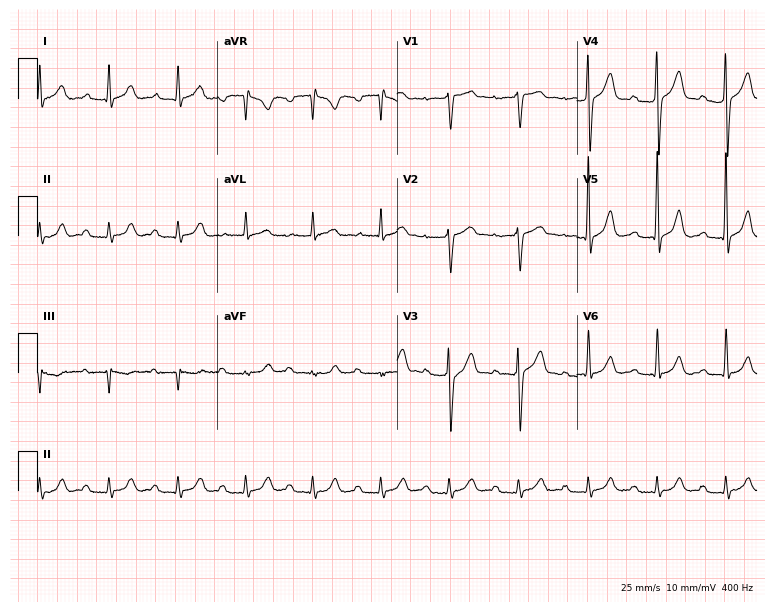
Standard 12-lead ECG recorded from a man, 57 years old. The tracing shows first-degree AV block.